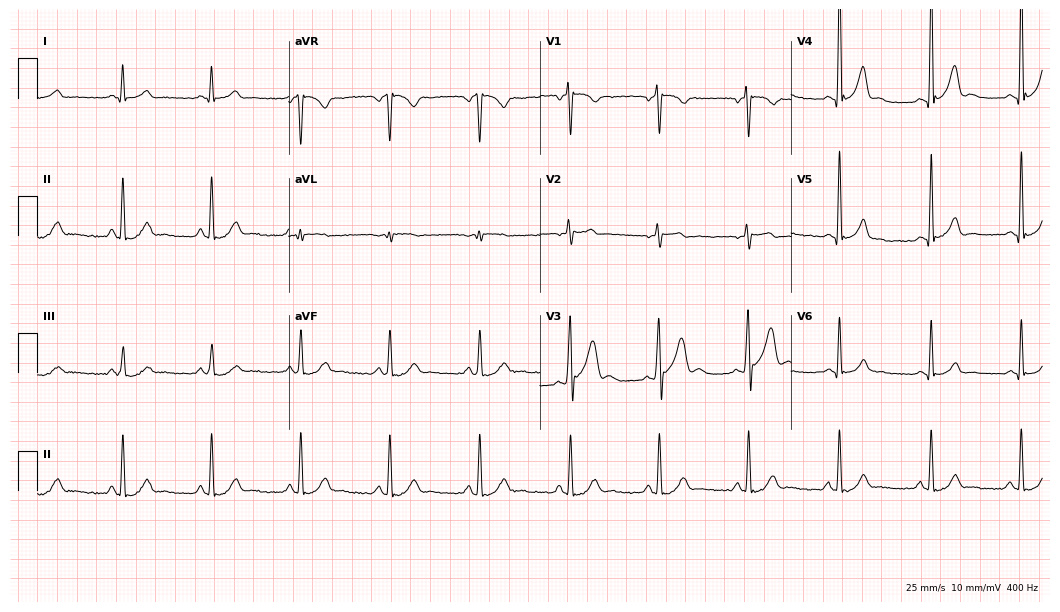
Electrocardiogram, a male, 37 years old. Overall reading on record: normal ECG.